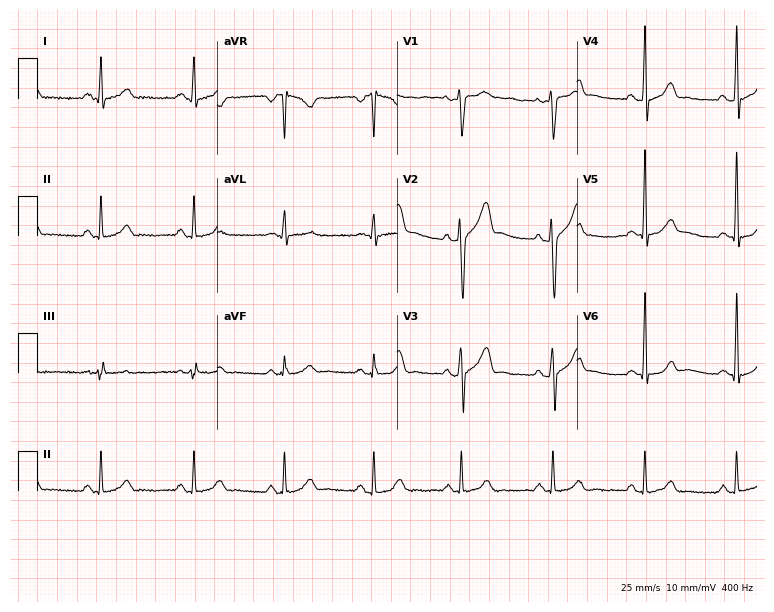
Resting 12-lead electrocardiogram (7.3-second recording at 400 Hz). Patient: a male, 37 years old. None of these six findings is recorded: first-degree AV block, right bundle branch block, left bundle branch block, sinus bradycardia, atrial fibrillation, sinus tachycardia. Findings outside these six are not listed.